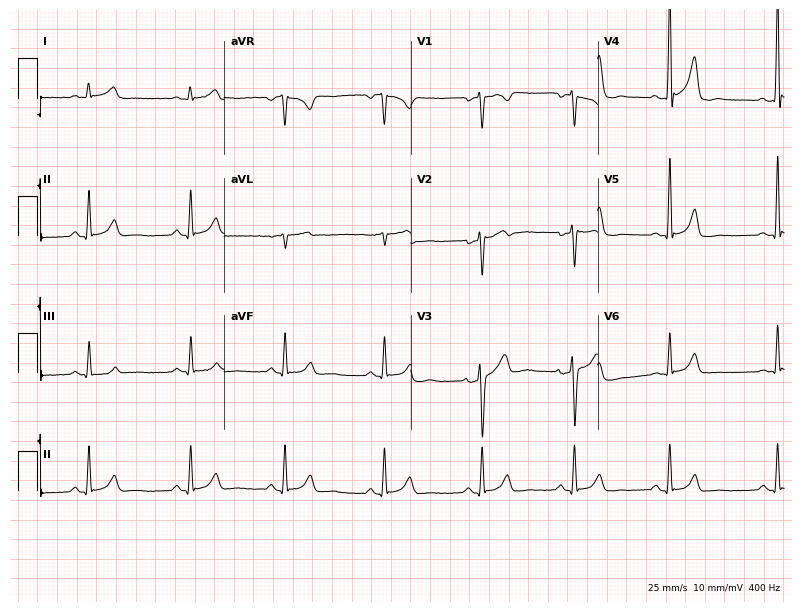
ECG (7.6-second recording at 400 Hz) — a 32-year-old man. Labelled as a normal ECG.